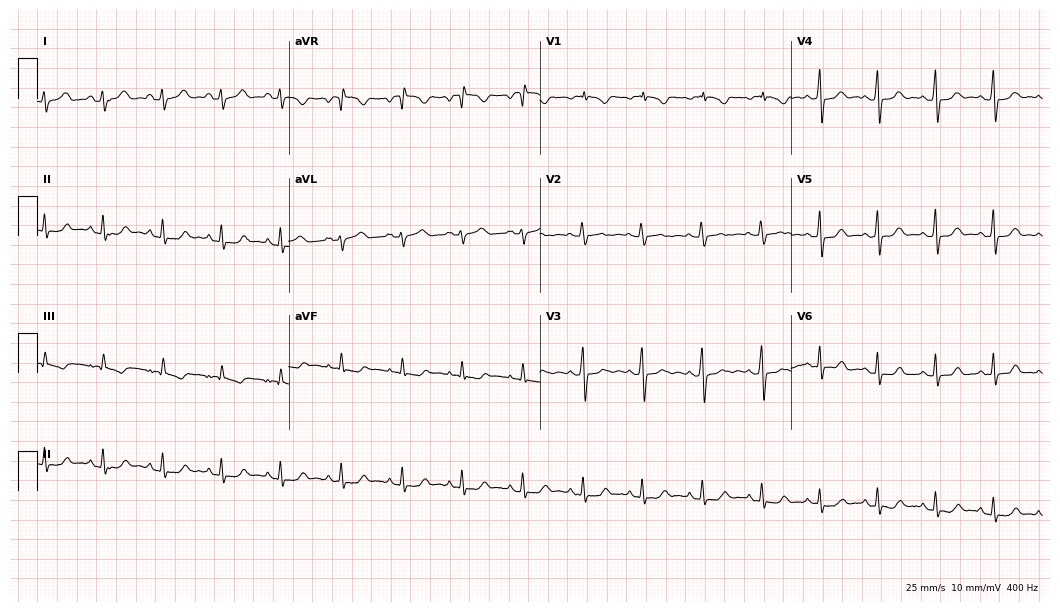
ECG — a 19-year-old female. Screened for six findings — first-degree AV block, right bundle branch block, left bundle branch block, sinus bradycardia, atrial fibrillation, sinus tachycardia — none is recorded.